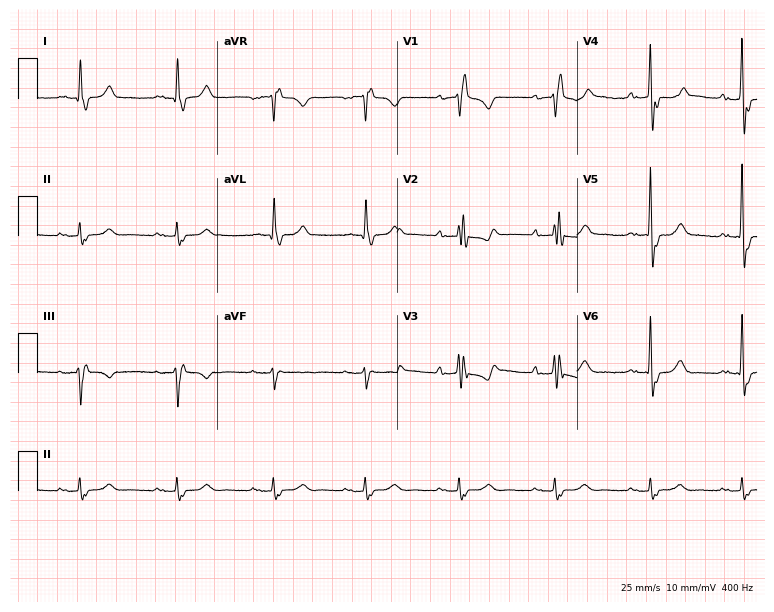
Resting 12-lead electrocardiogram. Patient: a 63-year-old man. The tracing shows right bundle branch block (RBBB).